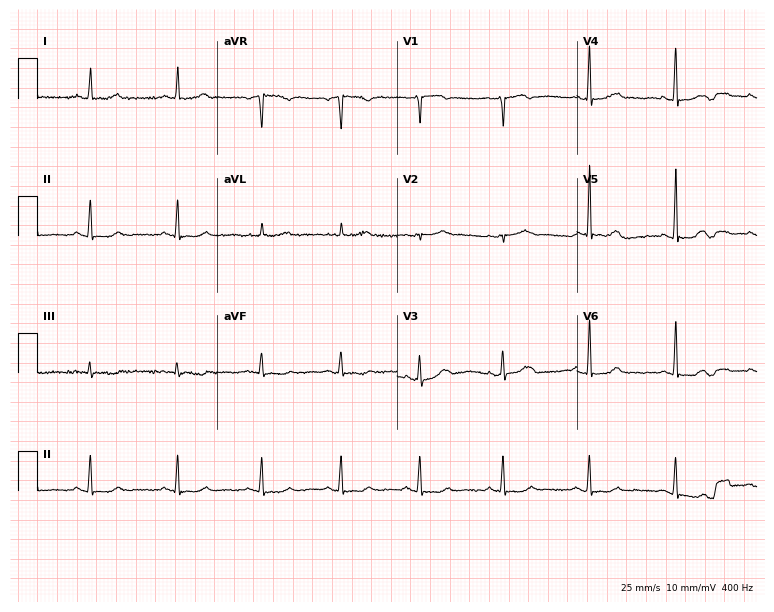
Standard 12-lead ECG recorded from a 48-year-old woman. None of these six findings is recorded: first-degree AV block, right bundle branch block (RBBB), left bundle branch block (LBBB), sinus bradycardia, atrial fibrillation (AF), sinus tachycardia.